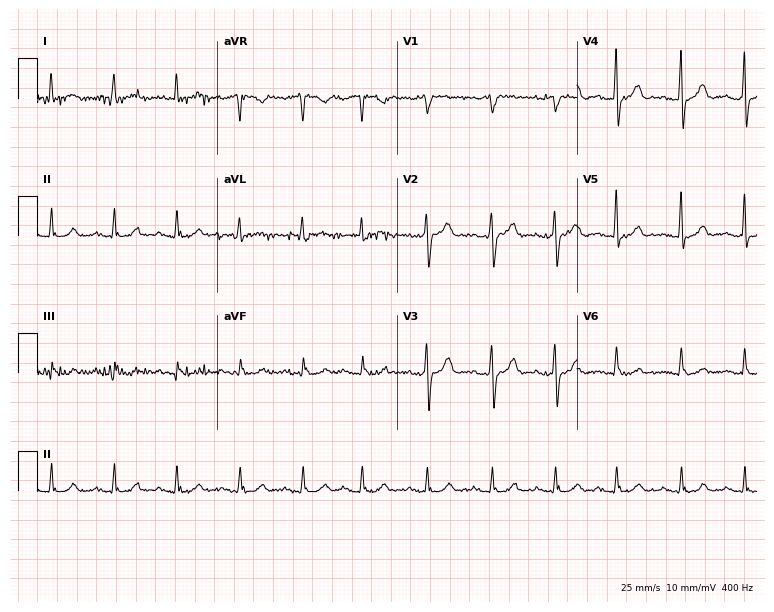
Resting 12-lead electrocardiogram. Patient: an 85-year-old male. Read as a normal ECG.